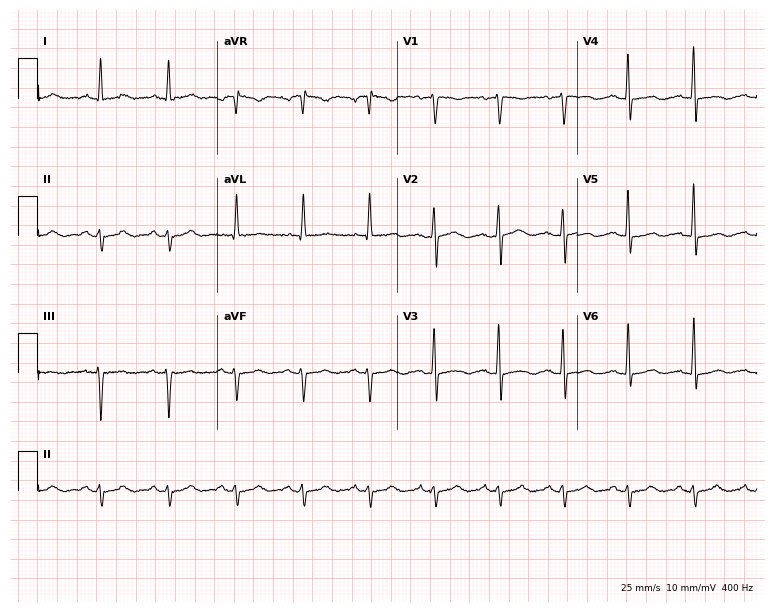
ECG (7.3-second recording at 400 Hz) — a male patient, 67 years old. Screened for six findings — first-degree AV block, right bundle branch block (RBBB), left bundle branch block (LBBB), sinus bradycardia, atrial fibrillation (AF), sinus tachycardia — none is recorded.